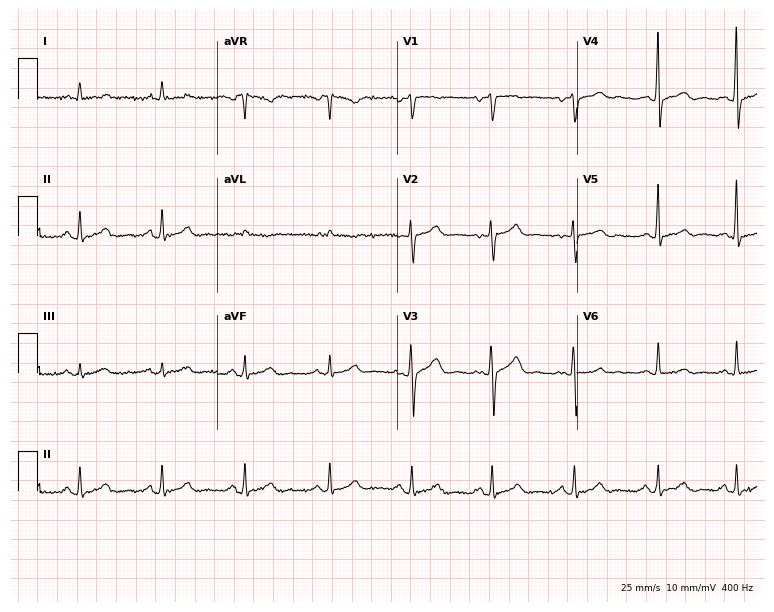
Electrocardiogram, a male, 45 years old. Overall reading on record: normal ECG.